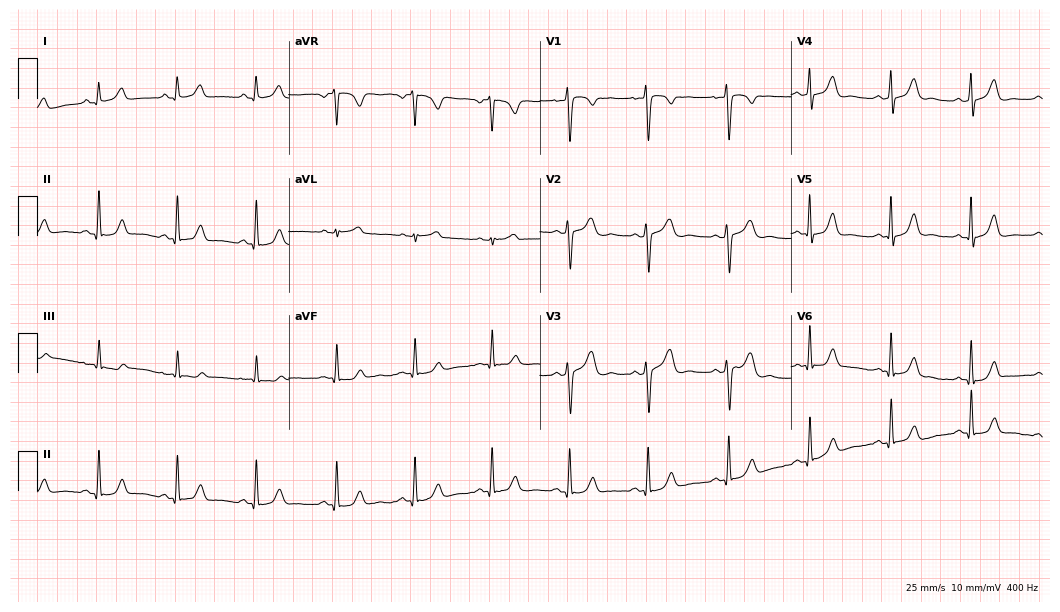
Resting 12-lead electrocardiogram (10.2-second recording at 400 Hz). Patient: a 38-year-old female. None of these six findings is recorded: first-degree AV block, right bundle branch block, left bundle branch block, sinus bradycardia, atrial fibrillation, sinus tachycardia. Findings outside these six are not listed.